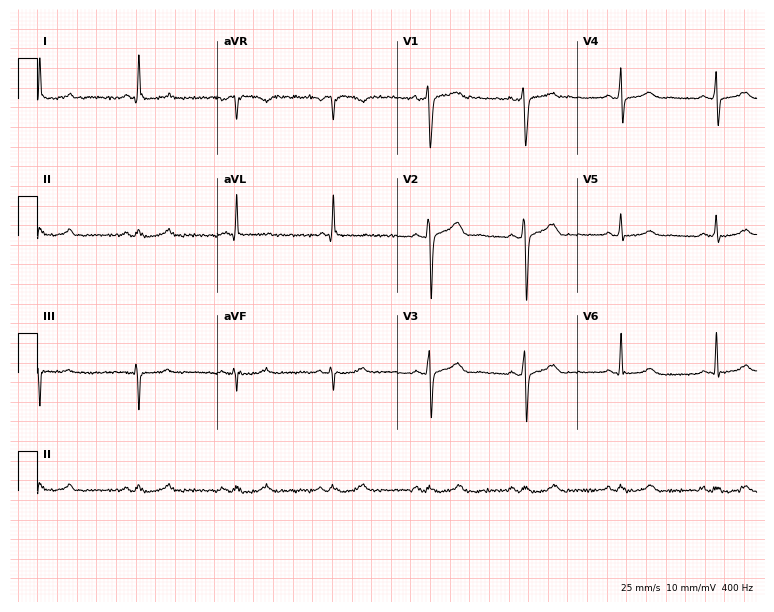
12-lead ECG from a male patient, 41 years old. Screened for six findings — first-degree AV block, right bundle branch block, left bundle branch block, sinus bradycardia, atrial fibrillation, sinus tachycardia — none is recorded. Only these six findings were labelled.